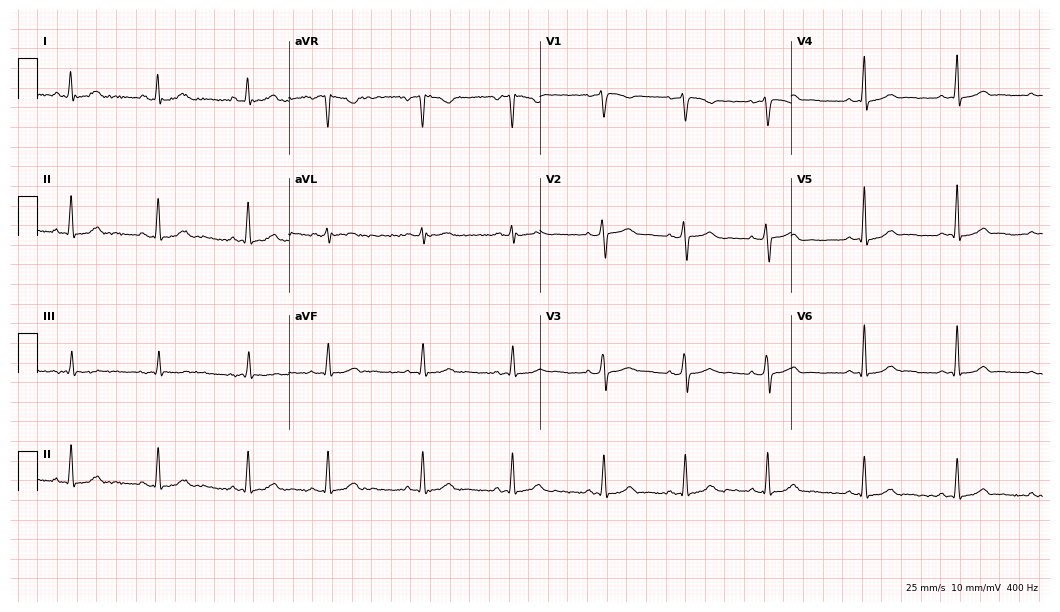
ECG (10.2-second recording at 400 Hz) — a female patient, 37 years old. Labelled as a normal ECG.